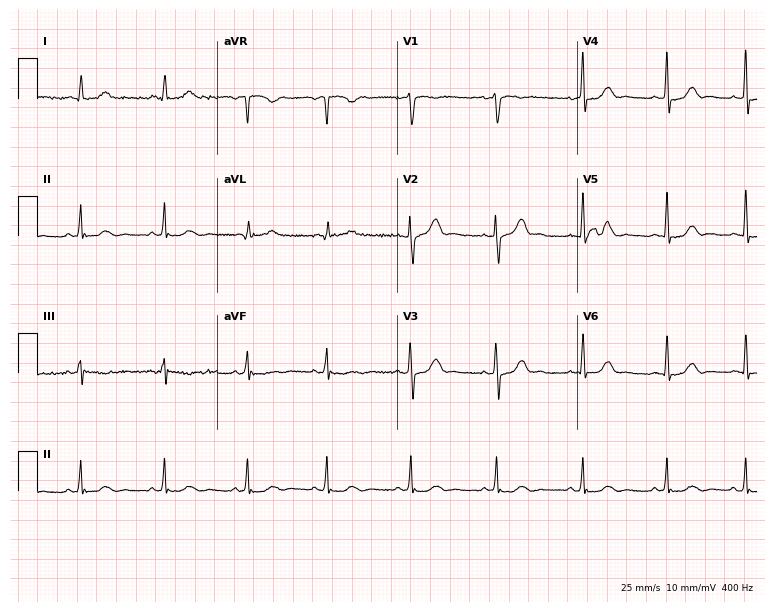
Electrocardiogram (7.3-second recording at 400 Hz), a 40-year-old female patient. Overall reading on record: normal ECG.